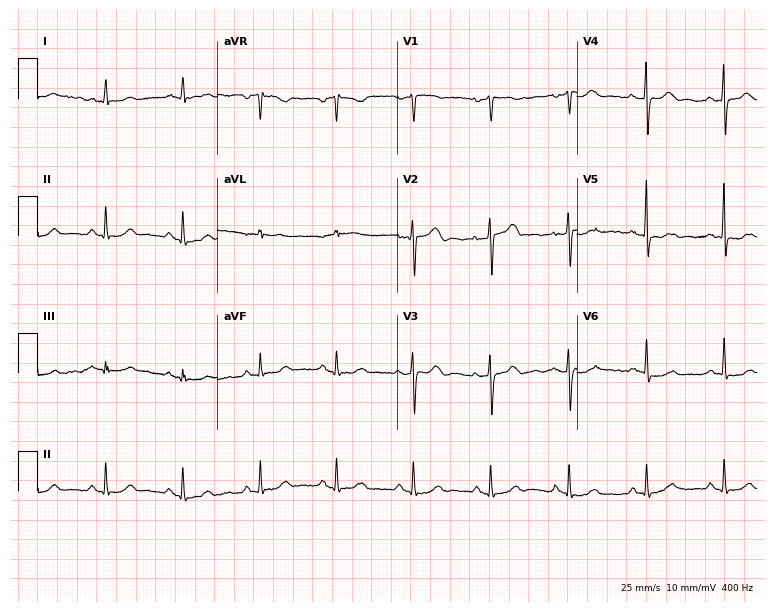
ECG (7.3-second recording at 400 Hz) — an 82-year-old male patient. Screened for six findings — first-degree AV block, right bundle branch block, left bundle branch block, sinus bradycardia, atrial fibrillation, sinus tachycardia — none is recorded. Other findings, if any, are not listed.